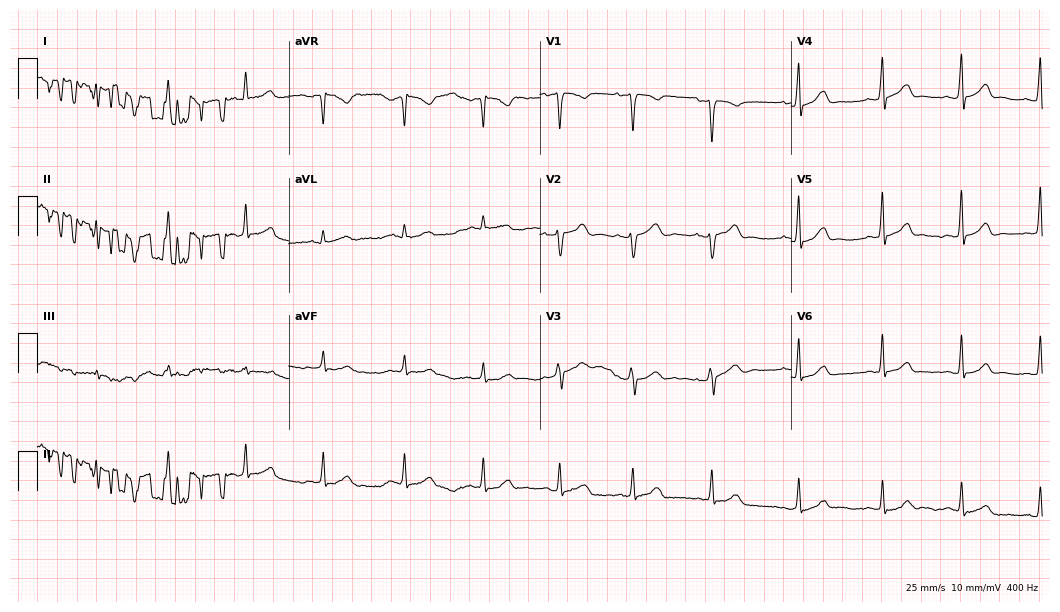
12-lead ECG from a 32-year-old female patient. Screened for six findings — first-degree AV block, right bundle branch block, left bundle branch block, sinus bradycardia, atrial fibrillation, sinus tachycardia — none is recorded.